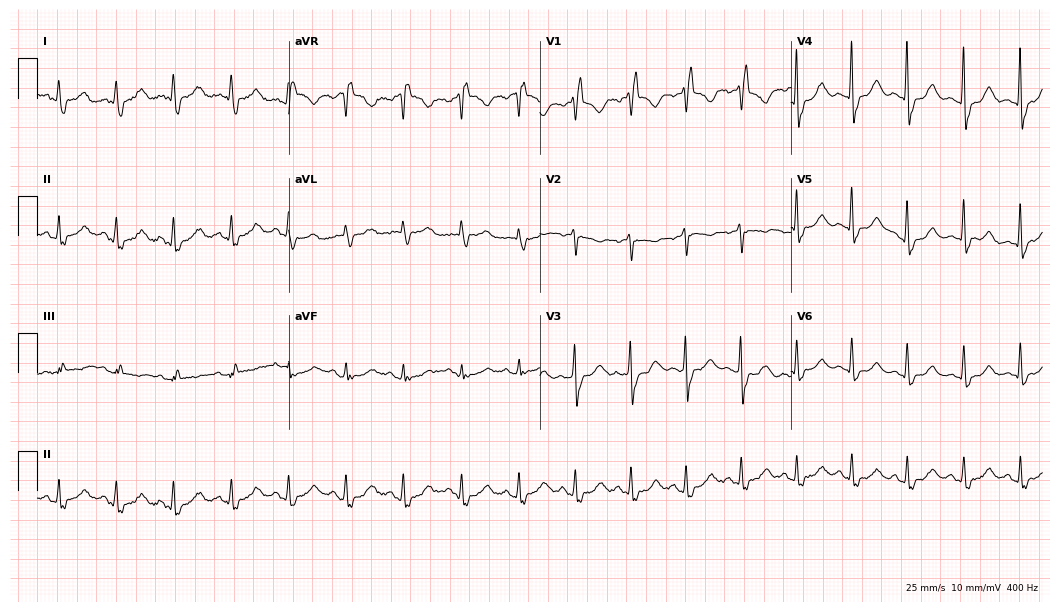
Resting 12-lead electrocardiogram (10.2-second recording at 400 Hz). Patient: a 75-year-old female. The tracing shows right bundle branch block, sinus tachycardia (a sinus rate of 100 beats per minute or more).